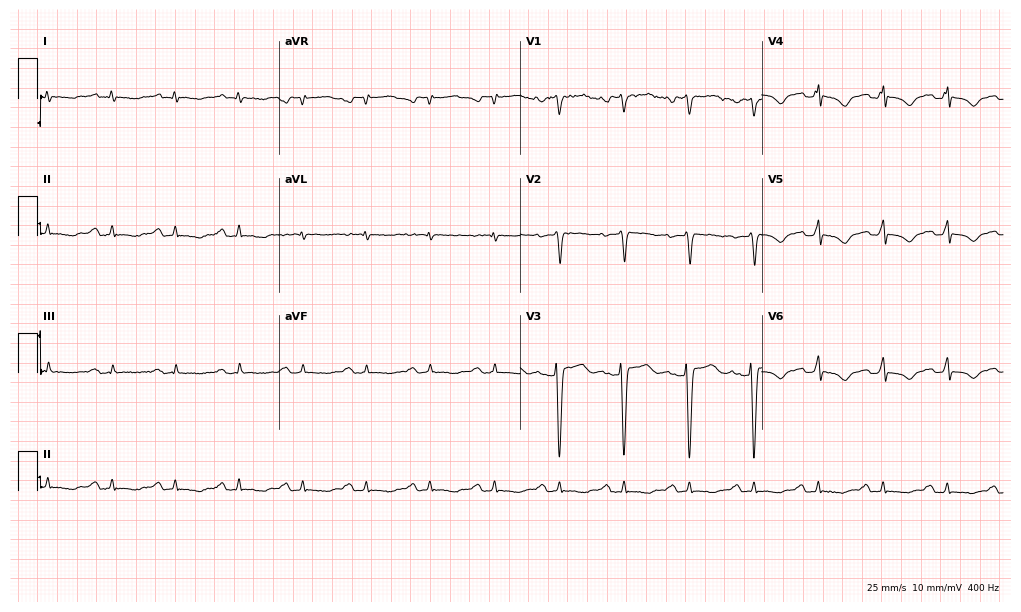
12-lead ECG from a female, 43 years old. No first-degree AV block, right bundle branch block (RBBB), left bundle branch block (LBBB), sinus bradycardia, atrial fibrillation (AF) or sinus tachycardia recorded for this tracing. Only these six findings were labelled.